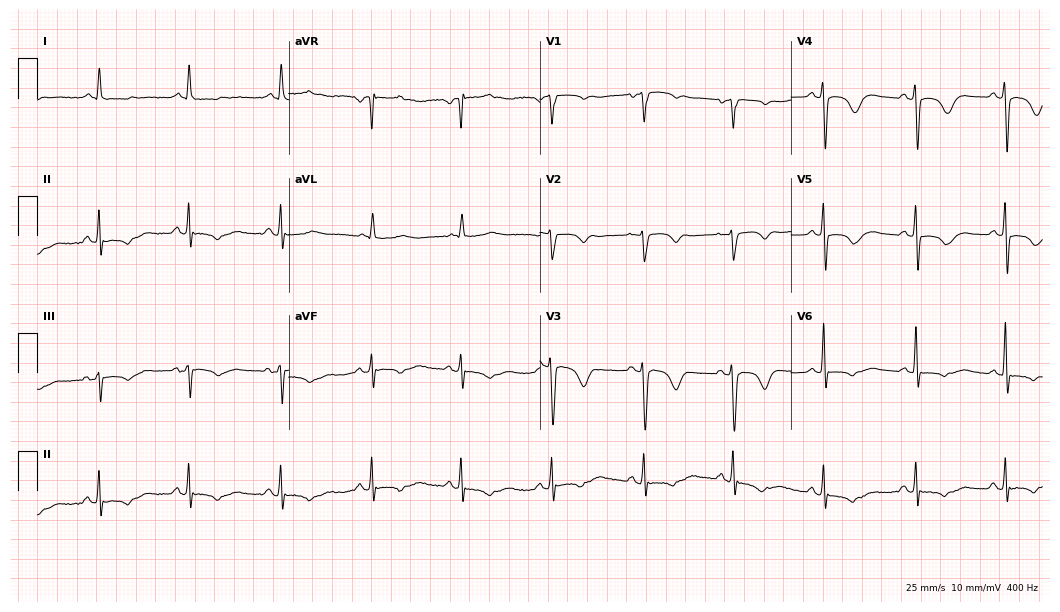
ECG (10.2-second recording at 400 Hz) — a female patient, 66 years old. Screened for six findings — first-degree AV block, right bundle branch block (RBBB), left bundle branch block (LBBB), sinus bradycardia, atrial fibrillation (AF), sinus tachycardia — none is recorded.